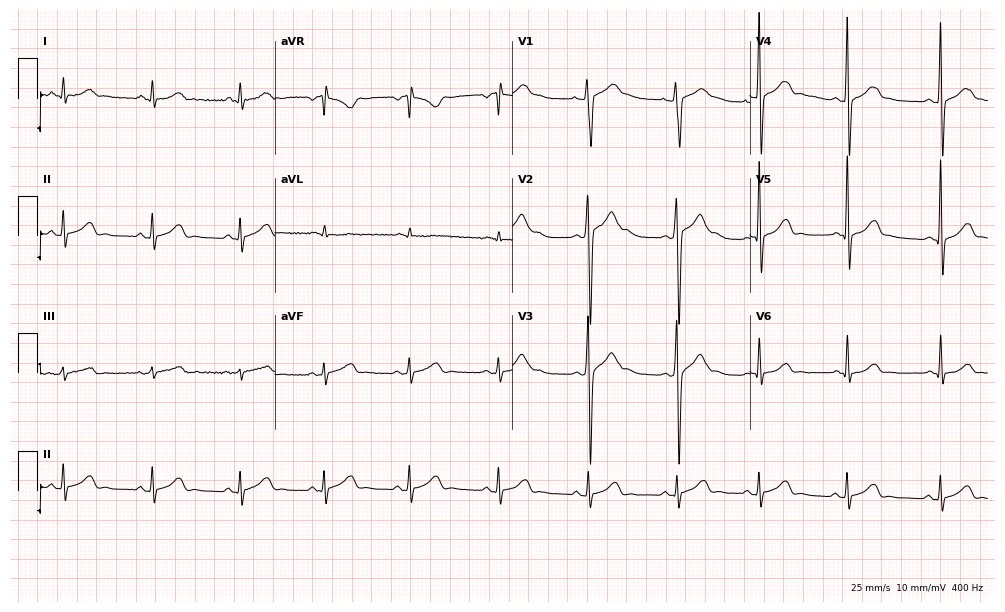
Resting 12-lead electrocardiogram (9.7-second recording at 400 Hz). Patient: a 26-year-old female. Read as a normal ECG.